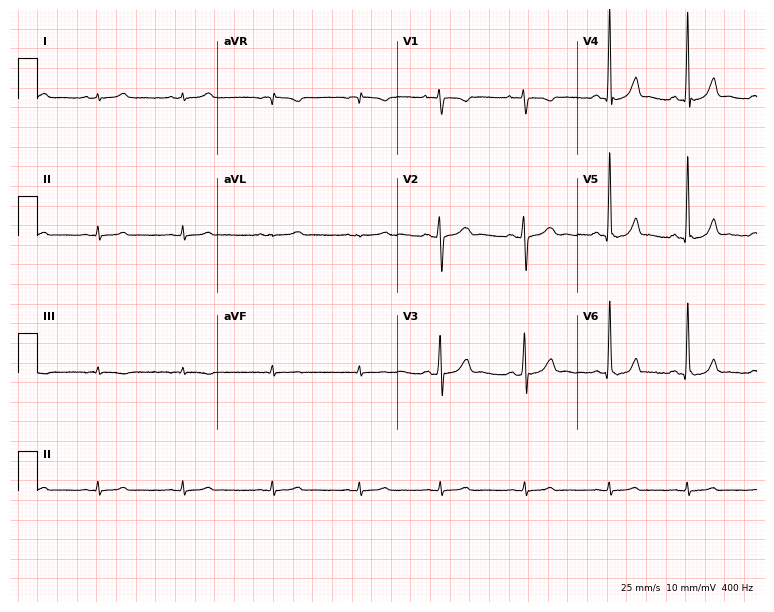
Electrocardiogram (7.3-second recording at 400 Hz), a woman, 20 years old. Overall reading on record: normal ECG.